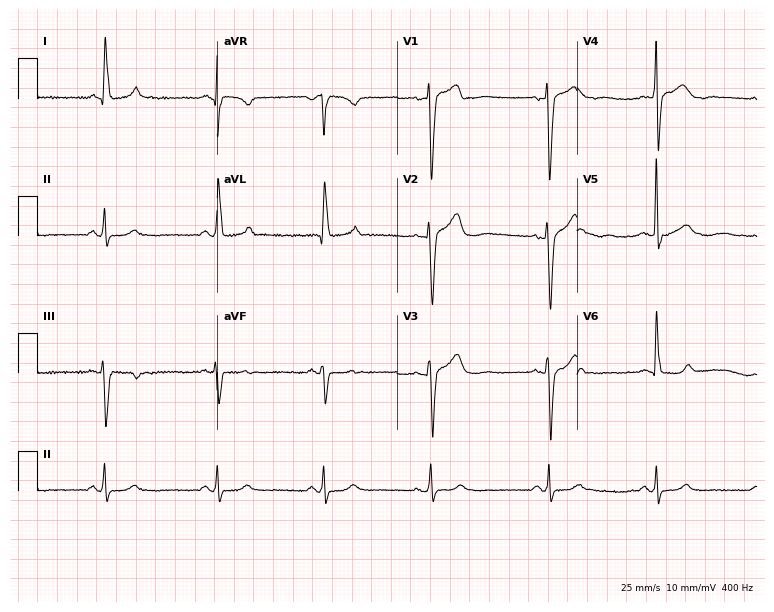
Resting 12-lead electrocardiogram (7.3-second recording at 400 Hz). Patient: a woman, 53 years old. None of these six findings is recorded: first-degree AV block, right bundle branch block, left bundle branch block, sinus bradycardia, atrial fibrillation, sinus tachycardia. Only these six findings were labelled.